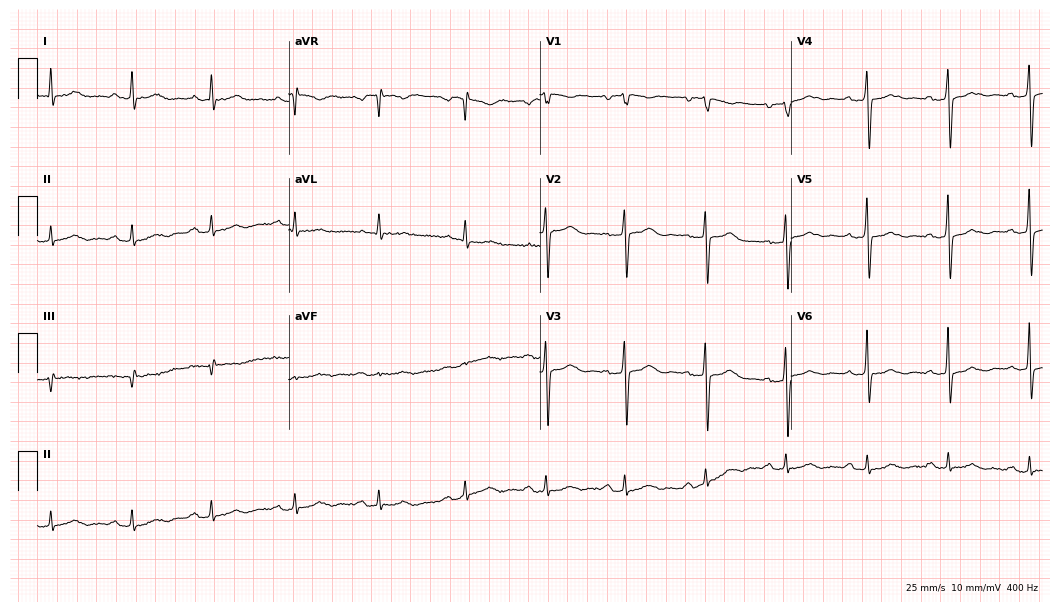
Standard 12-lead ECG recorded from a 59-year-old woman (10.2-second recording at 400 Hz). Read as a normal ECG.